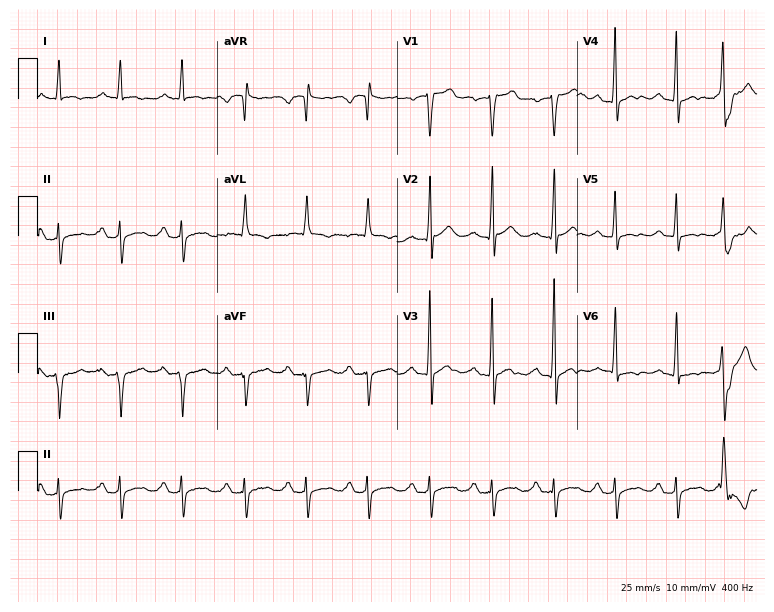
Standard 12-lead ECG recorded from a man, 71 years old. The tracing shows first-degree AV block.